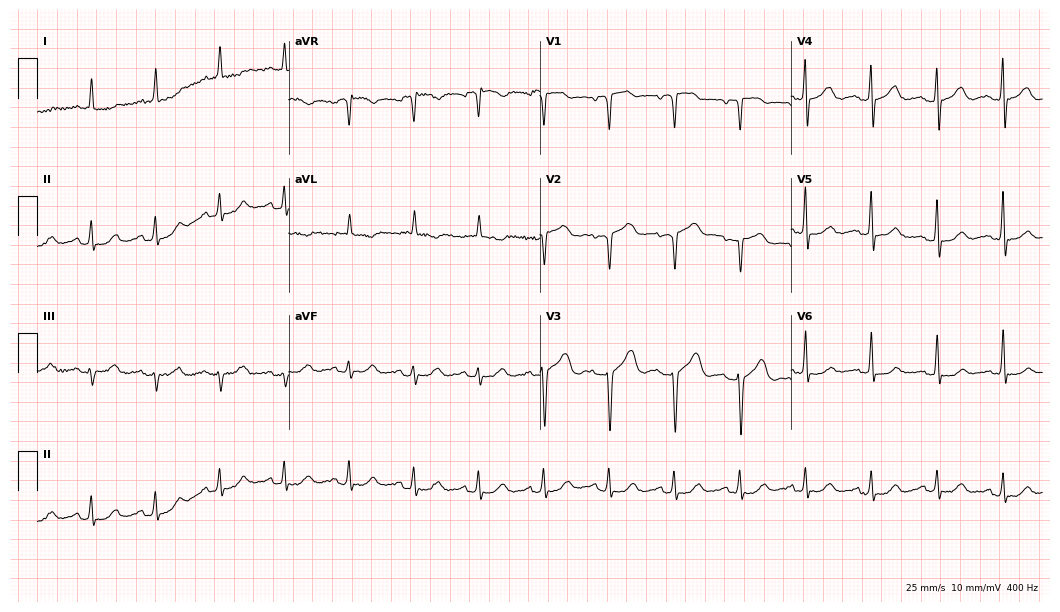
12-lead ECG from a 72-year-old female patient. No first-degree AV block, right bundle branch block, left bundle branch block, sinus bradycardia, atrial fibrillation or sinus tachycardia recorded for this tracing. Only these six findings were labelled.